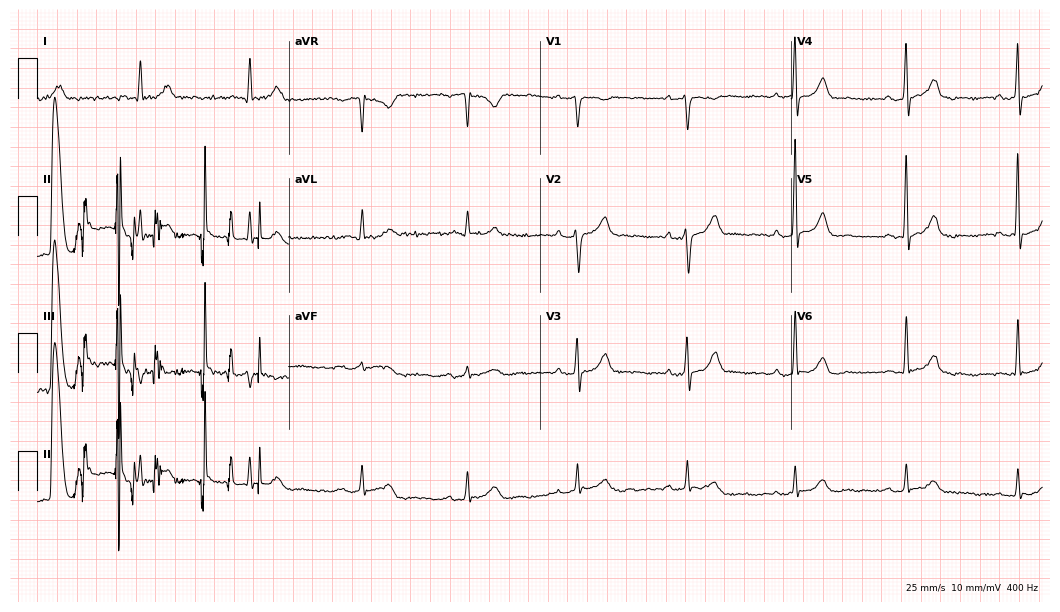
Resting 12-lead electrocardiogram (10.2-second recording at 400 Hz). Patient: an 84-year-old male. Read as a normal ECG.